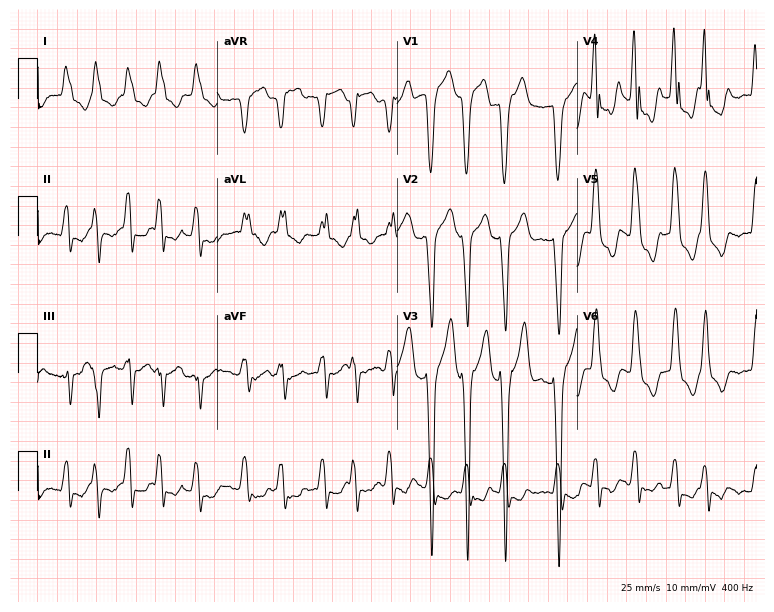
Resting 12-lead electrocardiogram (7.3-second recording at 400 Hz). Patient: a male, 80 years old. The tracing shows left bundle branch block (LBBB), atrial fibrillation (AF).